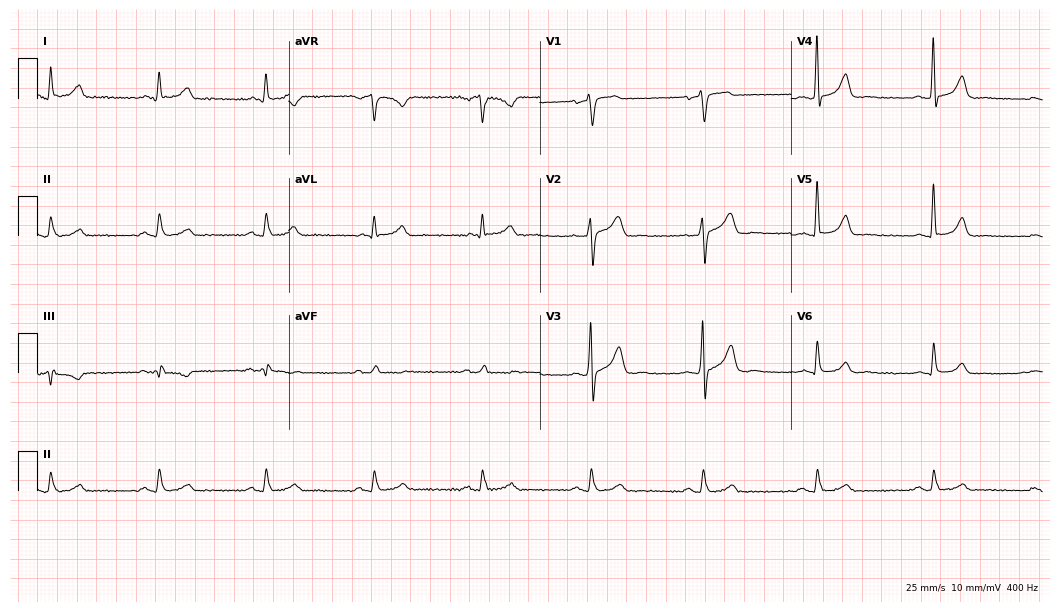
12-lead ECG from a male patient, 66 years old (10.2-second recording at 400 Hz). Recorded interpretation: within normal limits.